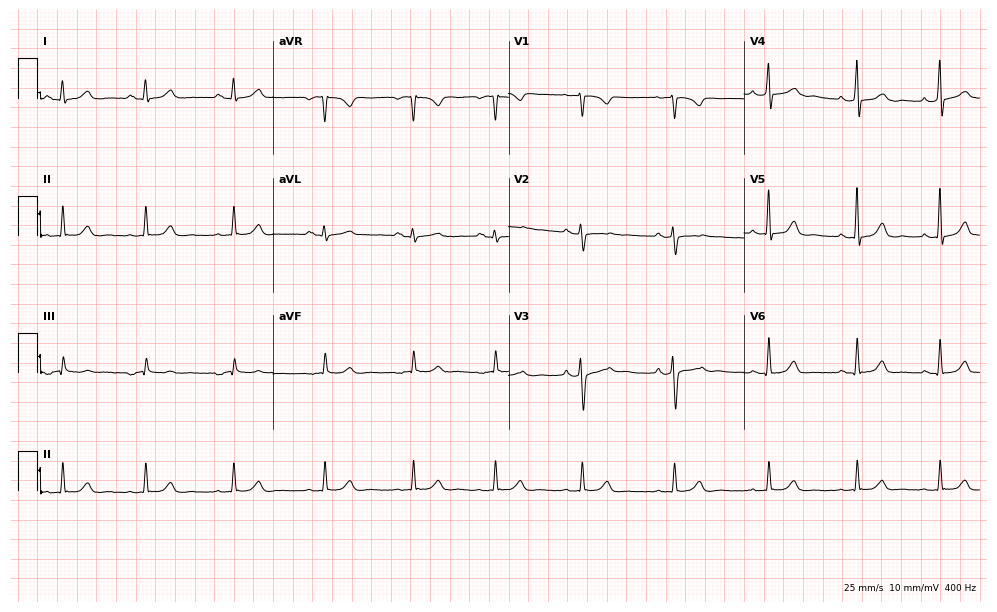
Electrocardiogram, a 25-year-old female patient. Overall reading on record: normal ECG.